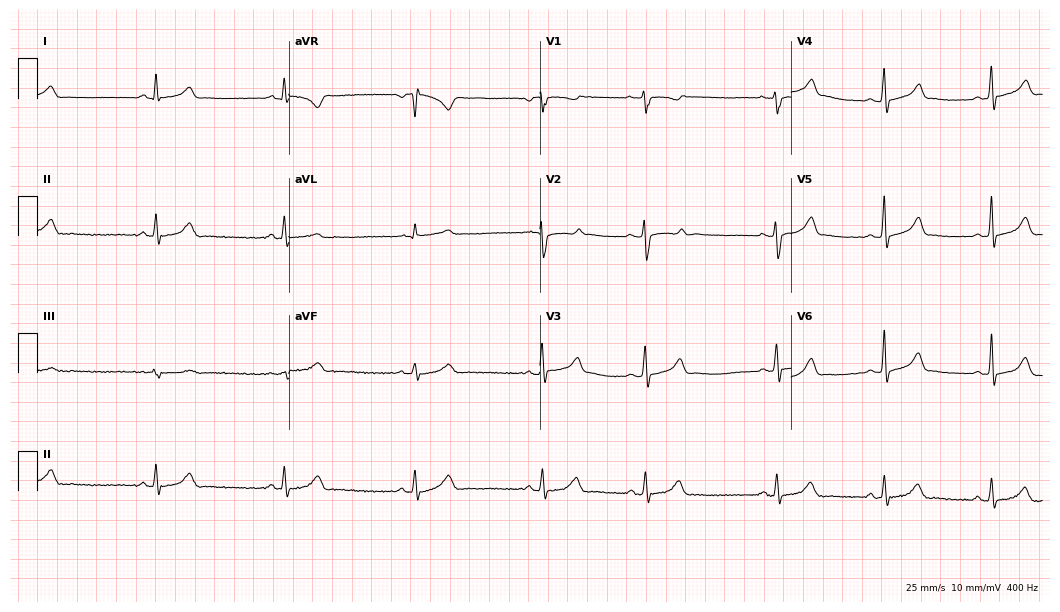
Electrocardiogram (10.2-second recording at 400 Hz), a 23-year-old female. Of the six screened findings (first-degree AV block, right bundle branch block, left bundle branch block, sinus bradycardia, atrial fibrillation, sinus tachycardia), none is recorded.